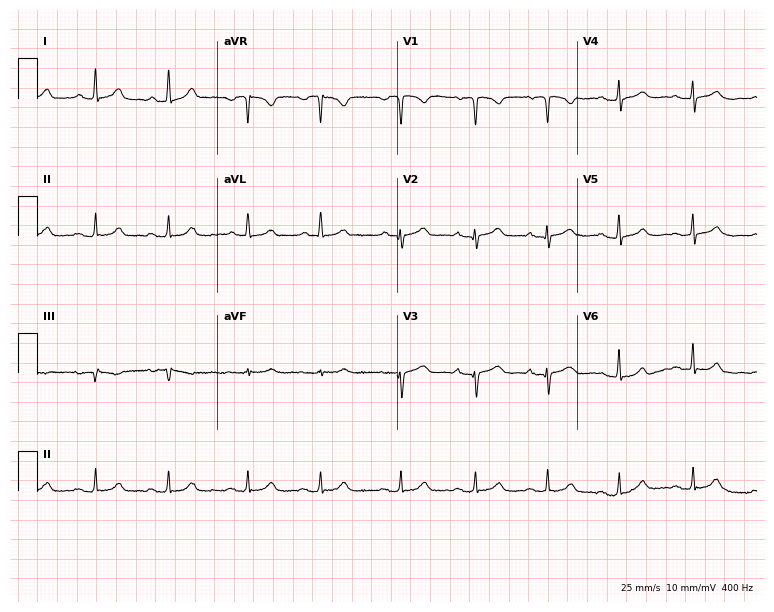
12-lead ECG from a female patient, 49 years old (7.3-second recording at 400 Hz). Recorded interpretation: within normal limits.